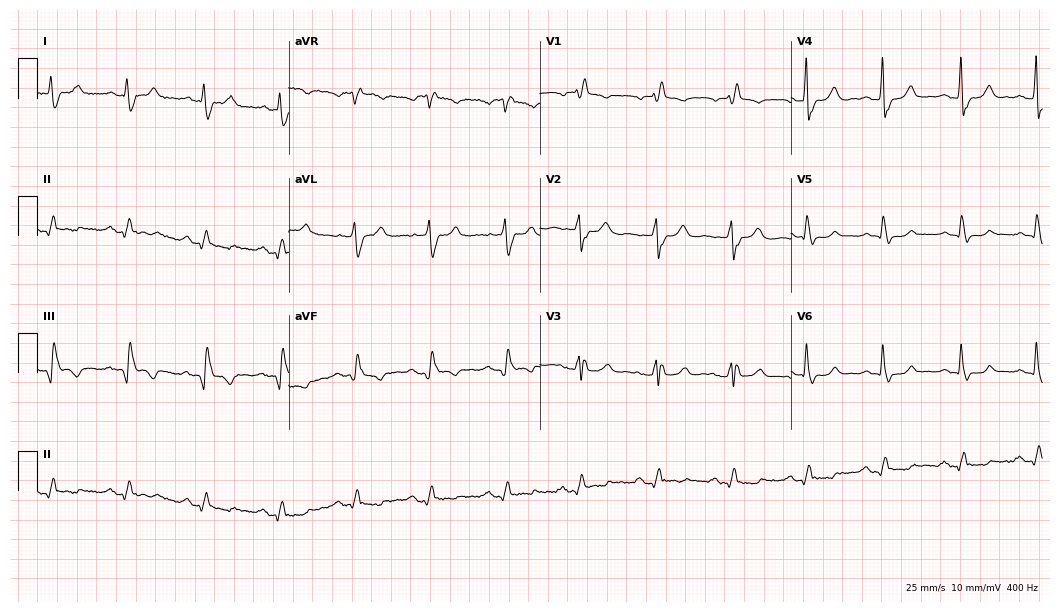
Standard 12-lead ECG recorded from a 64-year-old man (10.2-second recording at 400 Hz). The tracing shows right bundle branch block.